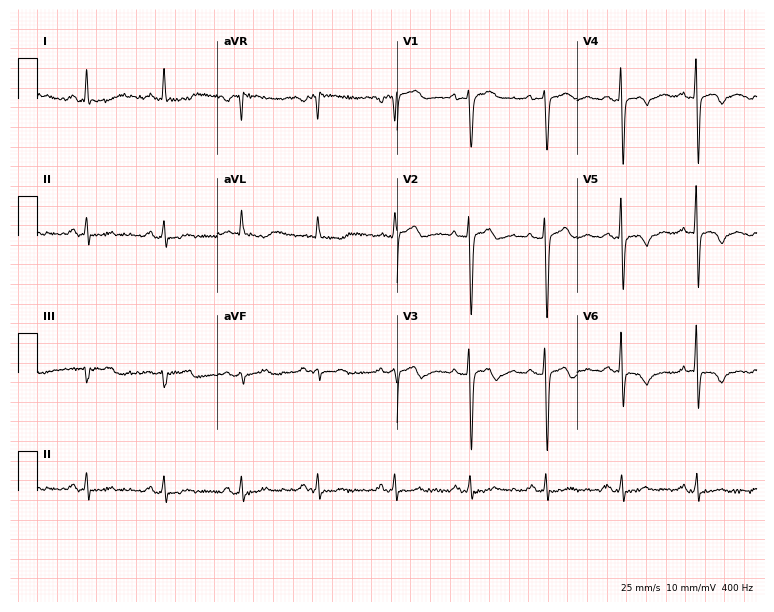
Electrocardiogram, a man, 50 years old. Of the six screened findings (first-degree AV block, right bundle branch block, left bundle branch block, sinus bradycardia, atrial fibrillation, sinus tachycardia), none is recorded.